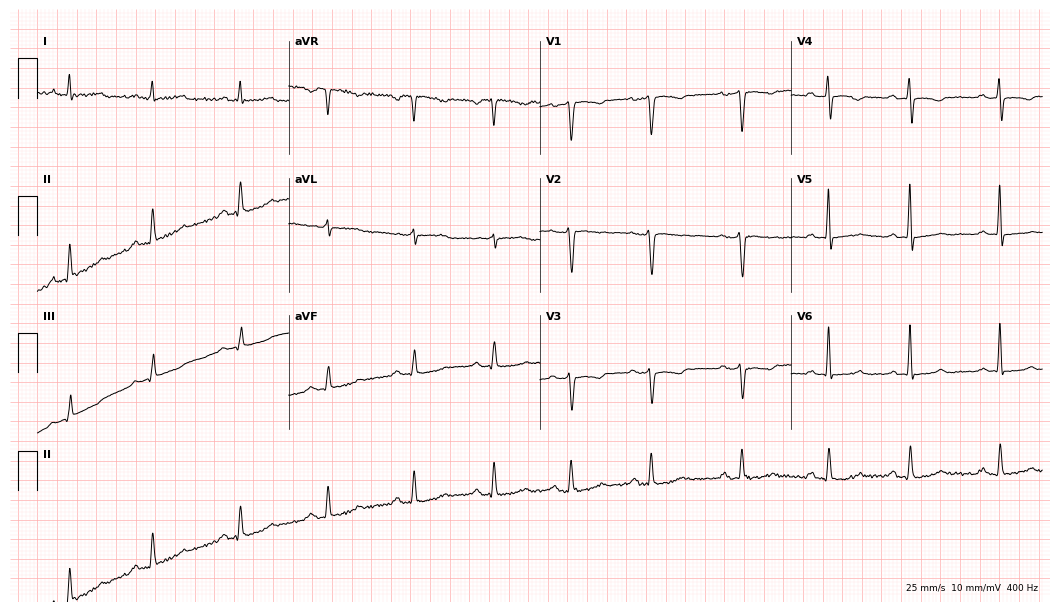
ECG (10.2-second recording at 400 Hz) — a 48-year-old female. Screened for six findings — first-degree AV block, right bundle branch block, left bundle branch block, sinus bradycardia, atrial fibrillation, sinus tachycardia — none is recorded. Only these six findings were labelled.